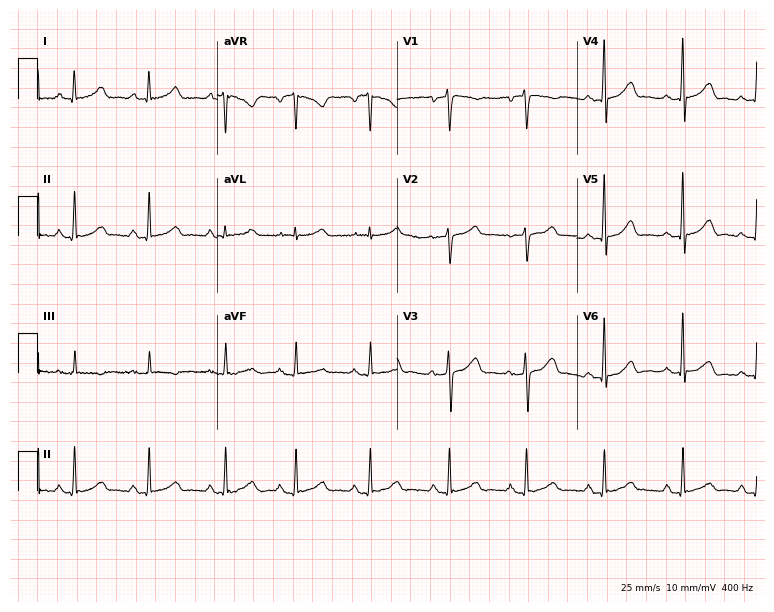
Electrocardiogram, a 38-year-old woman. Overall reading on record: normal ECG.